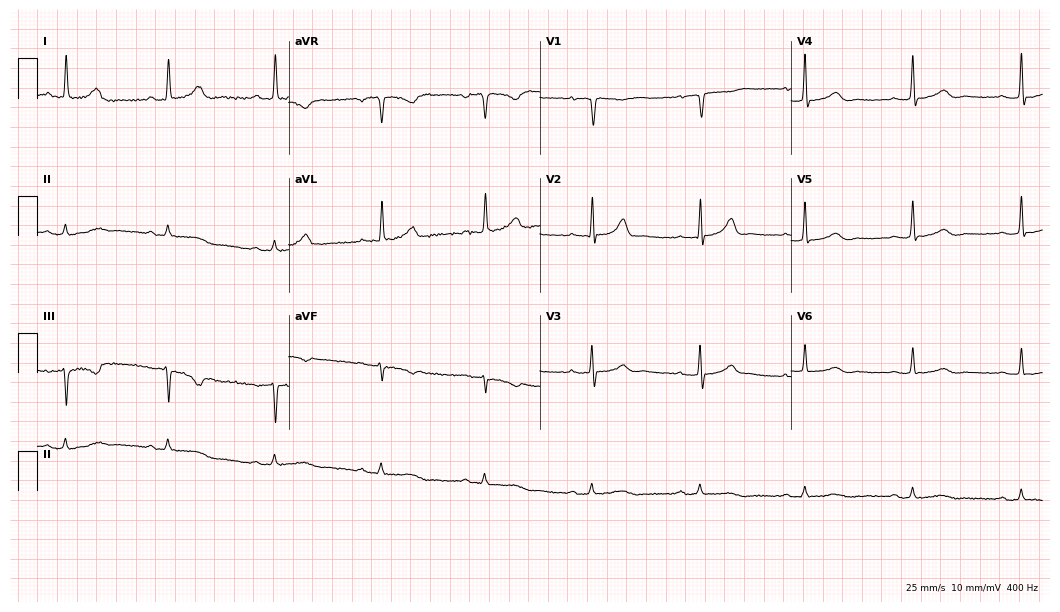
Resting 12-lead electrocardiogram. Patient: a 66-year-old female. Read as a normal ECG.